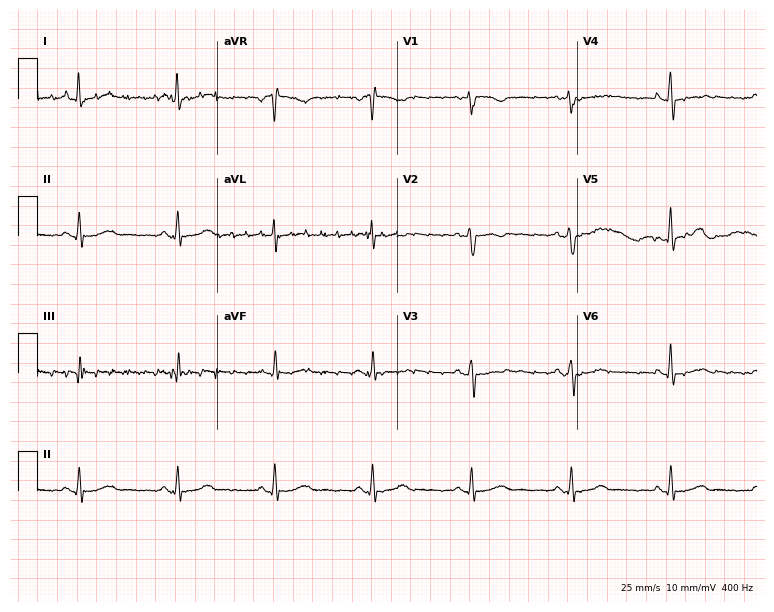
Electrocardiogram (7.3-second recording at 400 Hz), a woman, 66 years old. Of the six screened findings (first-degree AV block, right bundle branch block (RBBB), left bundle branch block (LBBB), sinus bradycardia, atrial fibrillation (AF), sinus tachycardia), none is recorded.